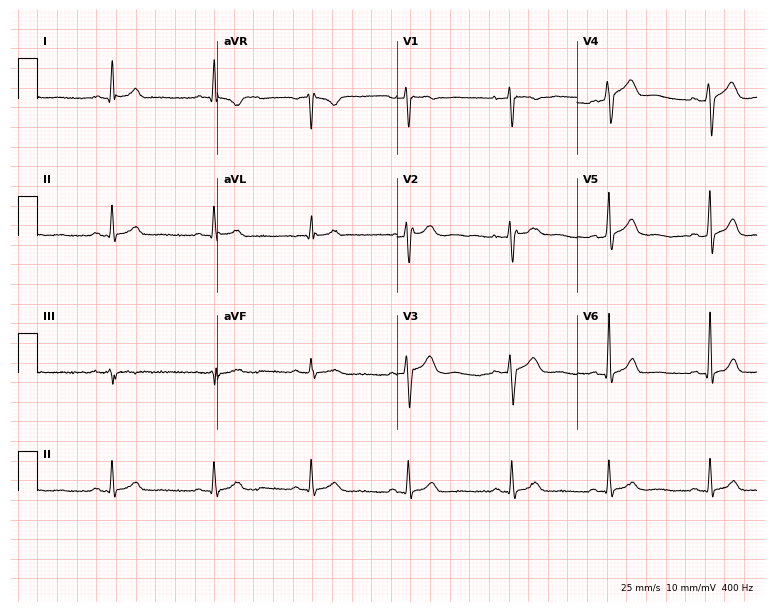
Electrocardiogram (7.3-second recording at 400 Hz), a 46-year-old male patient. Overall reading on record: normal ECG.